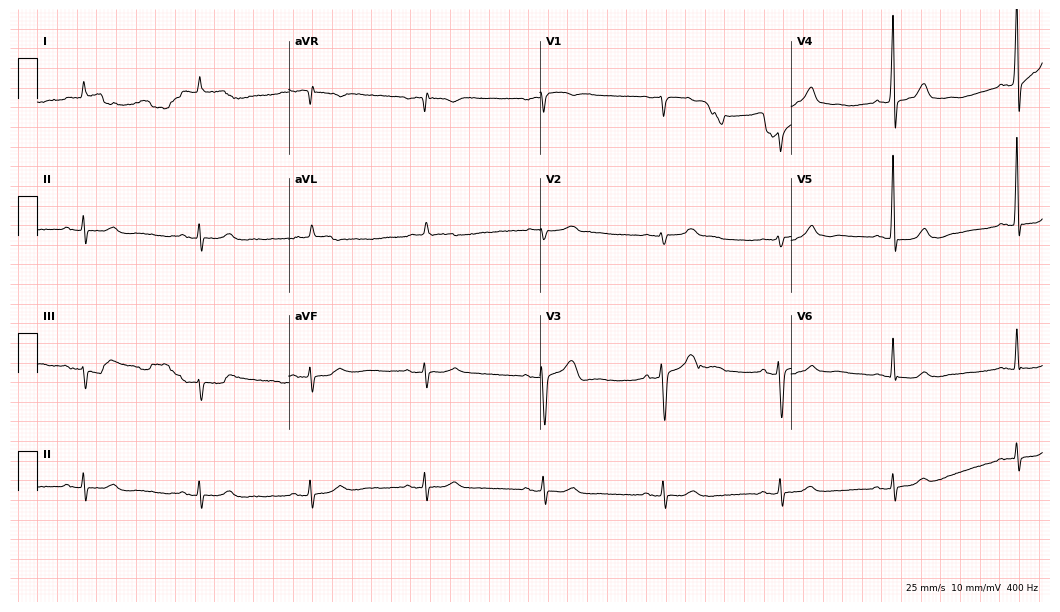
Standard 12-lead ECG recorded from a male patient, 75 years old. None of these six findings is recorded: first-degree AV block, right bundle branch block, left bundle branch block, sinus bradycardia, atrial fibrillation, sinus tachycardia. Other findings, if any, are not listed.